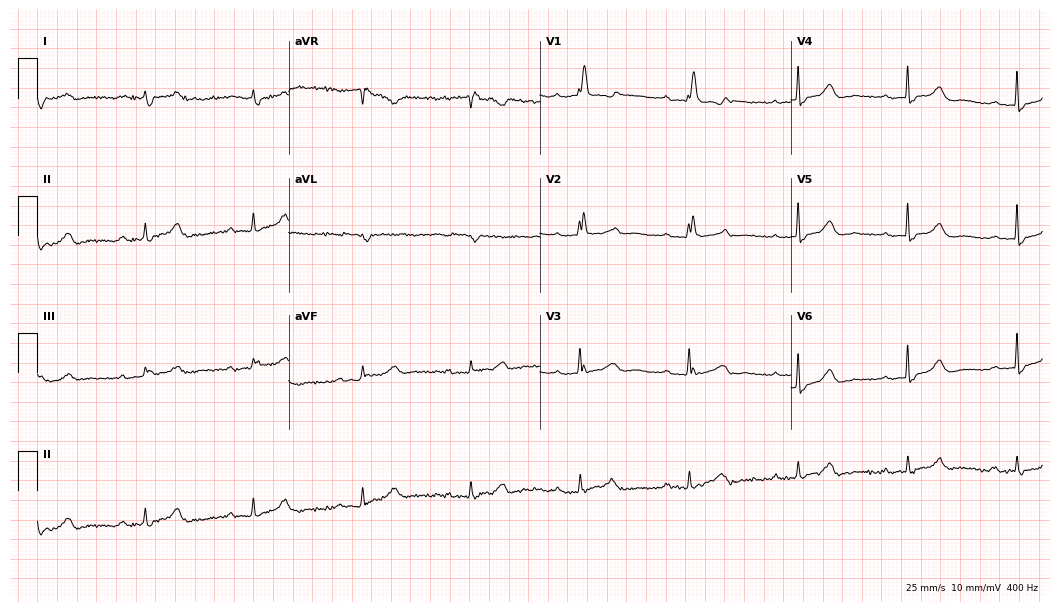
Resting 12-lead electrocardiogram. Patient: a female, 82 years old. The tracing shows first-degree AV block, right bundle branch block (RBBB).